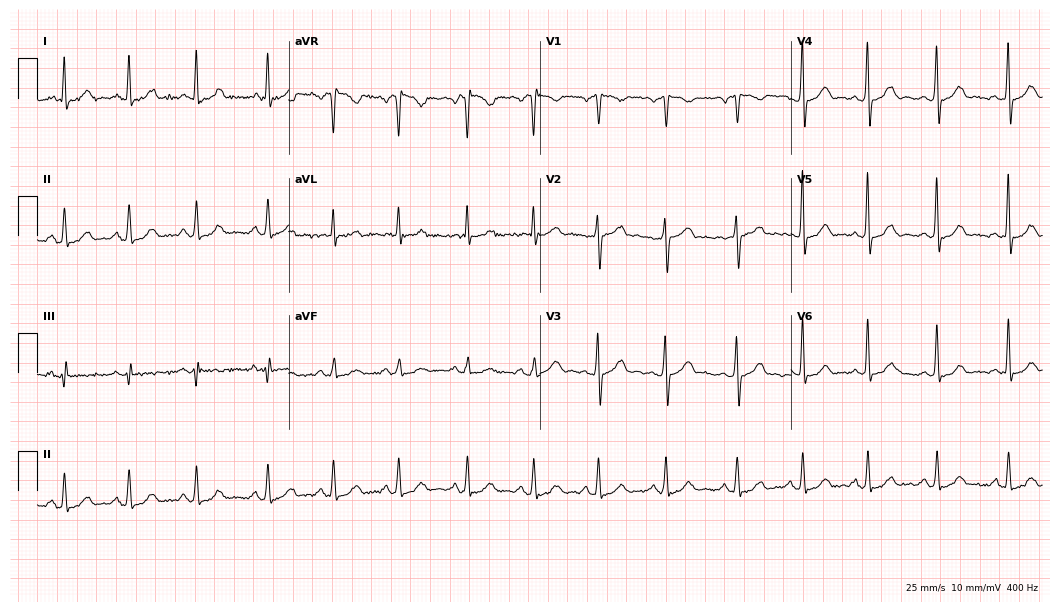
Electrocardiogram (10.2-second recording at 400 Hz), a female, 41 years old. Overall reading on record: normal ECG.